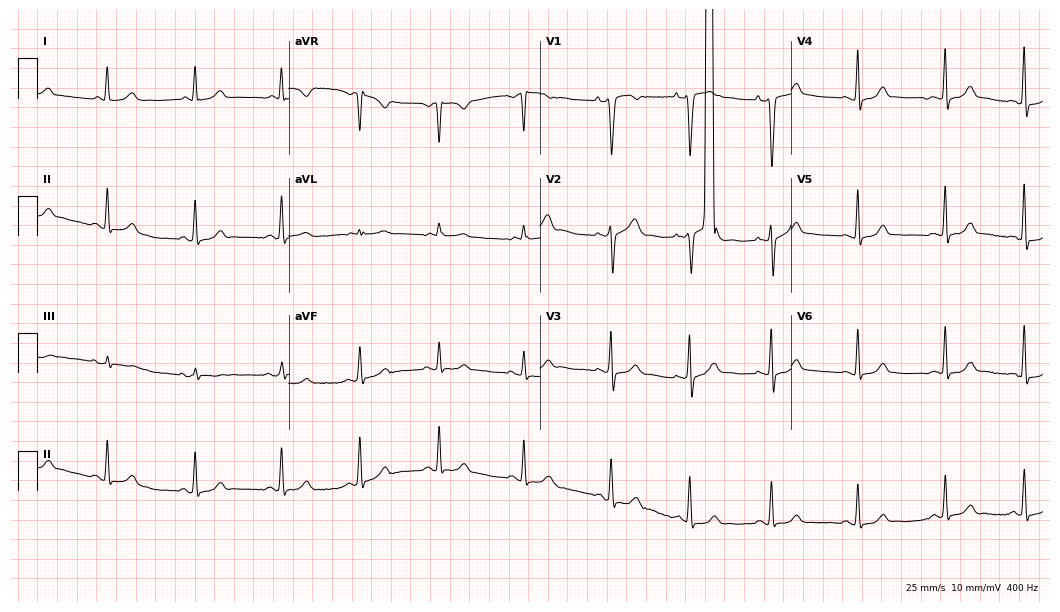
12-lead ECG from a woman, 40 years old. Recorded interpretation: within normal limits.